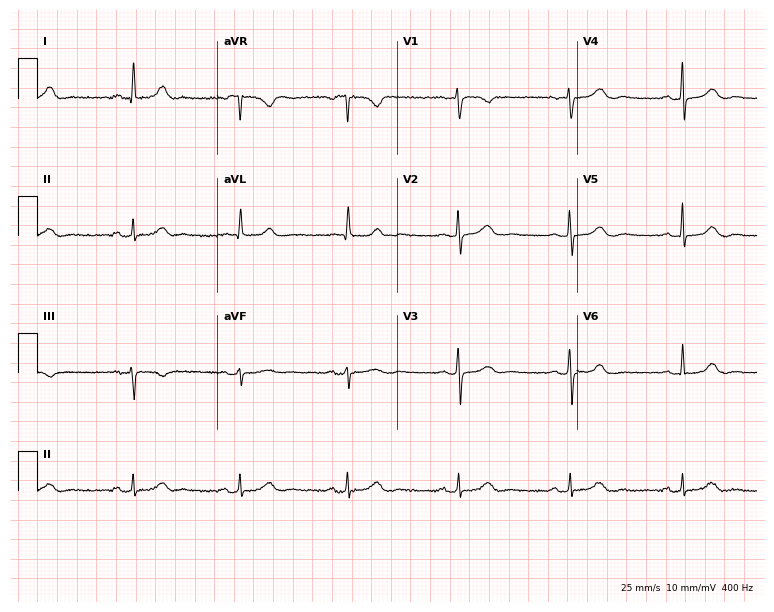
12-lead ECG from a 60-year-old woman. Labelled as a normal ECG.